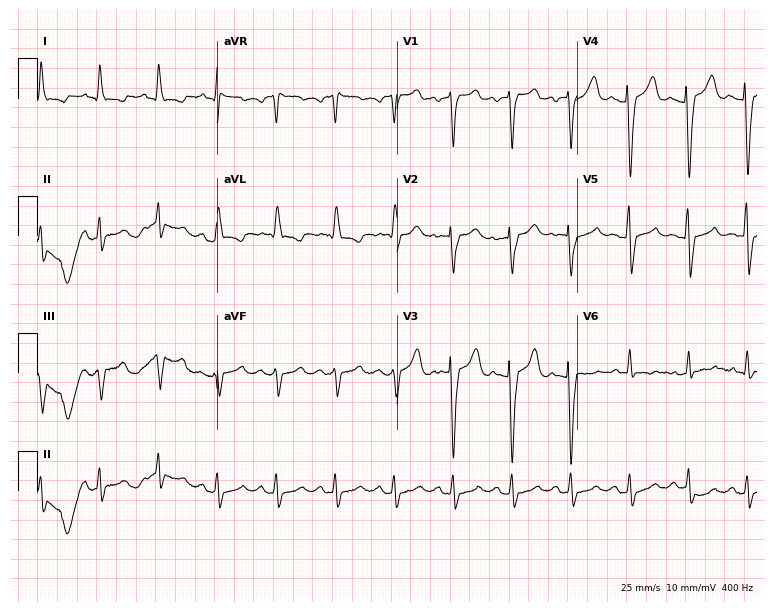
ECG — an 81-year-old male patient. Findings include sinus tachycardia (a sinus rate of 100 beats per minute or more).